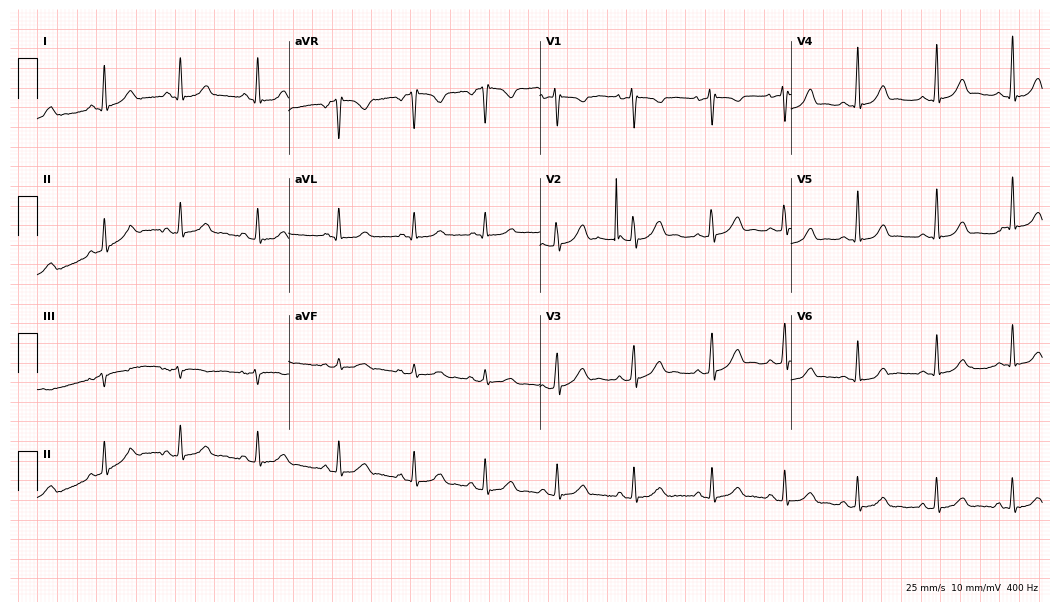
12-lead ECG from a female patient, 25 years old (10.2-second recording at 400 Hz). No first-degree AV block, right bundle branch block, left bundle branch block, sinus bradycardia, atrial fibrillation or sinus tachycardia recorded for this tracing. Findings outside these six are not listed.